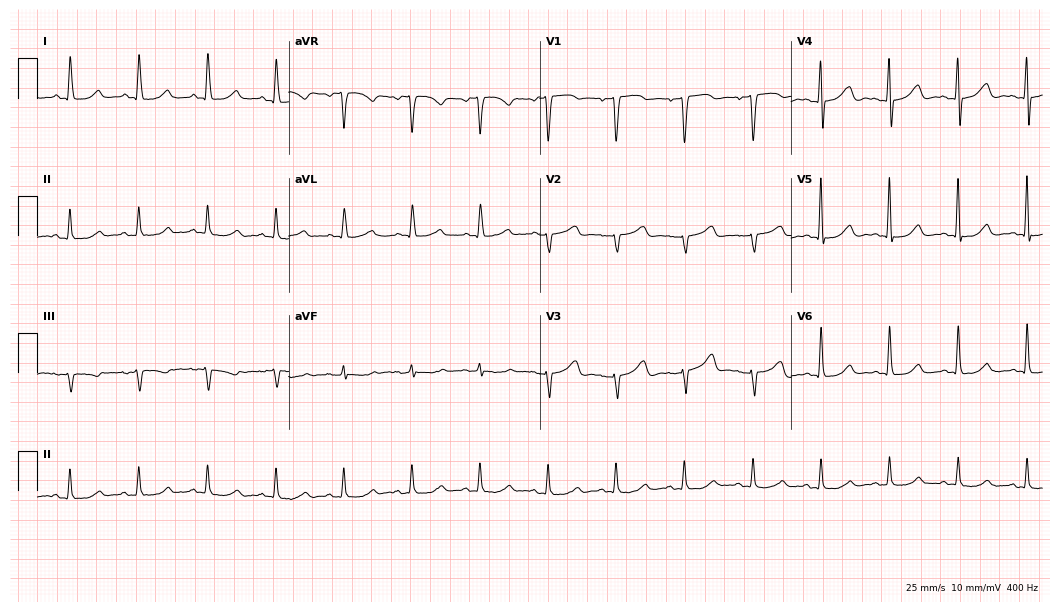
12-lead ECG from a woman, 54 years old (10.2-second recording at 400 Hz). No first-degree AV block, right bundle branch block, left bundle branch block, sinus bradycardia, atrial fibrillation or sinus tachycardia recorded for this tracing.